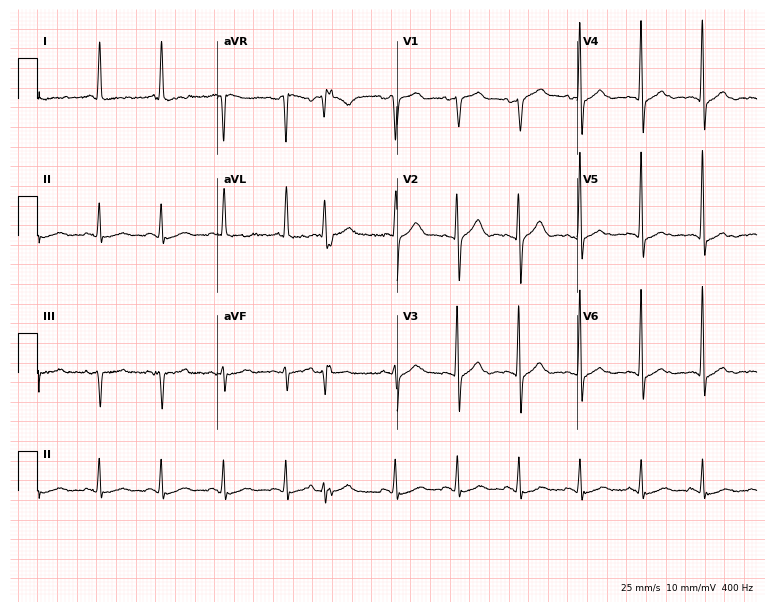
12-lead ECG from a female, 81 years old. No first-degree AV block, right bundle branch block (RBBB), left bundle branch block (LBBB), sinus bradycardia, atrial fibrillation (AF) or sinus tachycardia recorded for this tracing. Only these six findings were labelled.